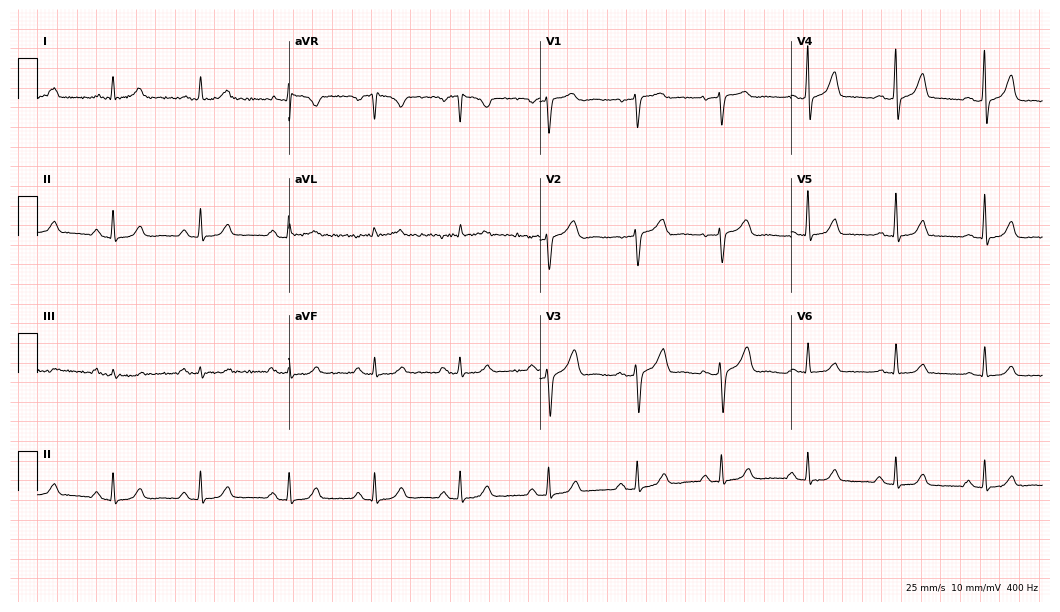
12-lead ECG (10.2-second recording at 400 Hz) from a 47-year-old woman. Screened for six findings — first-degree AV block, right bundle branch block (RBBB), left bundle branch block (LBBB), sinus bradycardia, atrial fibrillation (AF), sinus tachycardia — none is recorded.